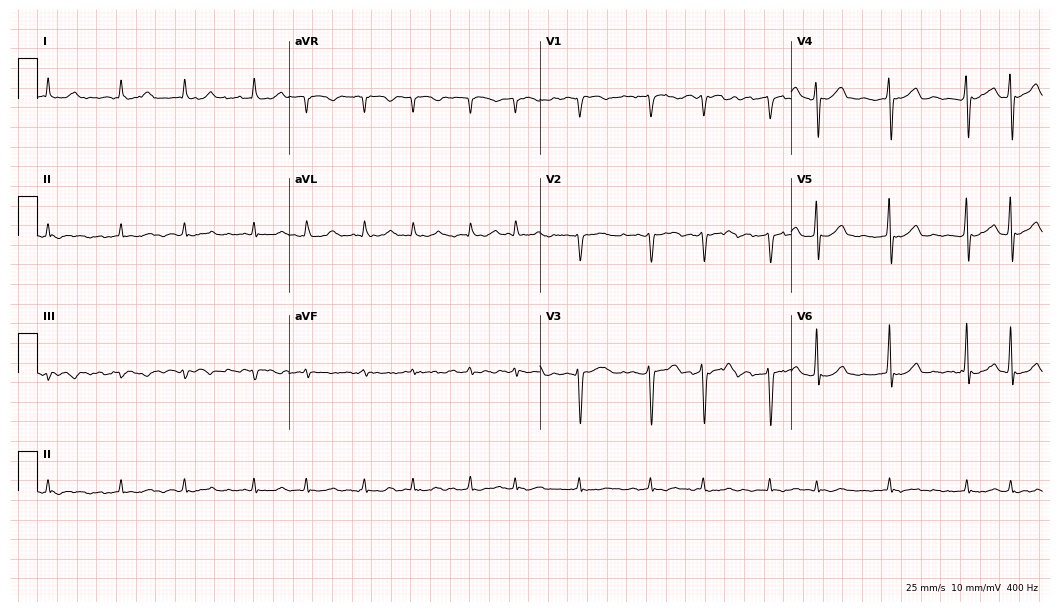
12-lead ECG (10.2-second recording at 400 Hz) from a 78-year-old male patient. Findings include atrial fibrillation.